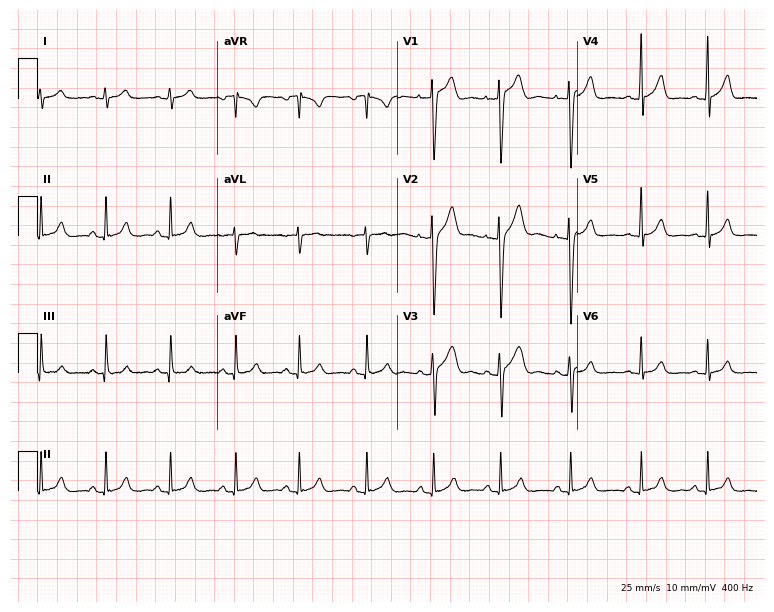
ECG (7.3-second recording at 400 Hz) — a 20-year-old male patient. Labelled as a normal ECG.